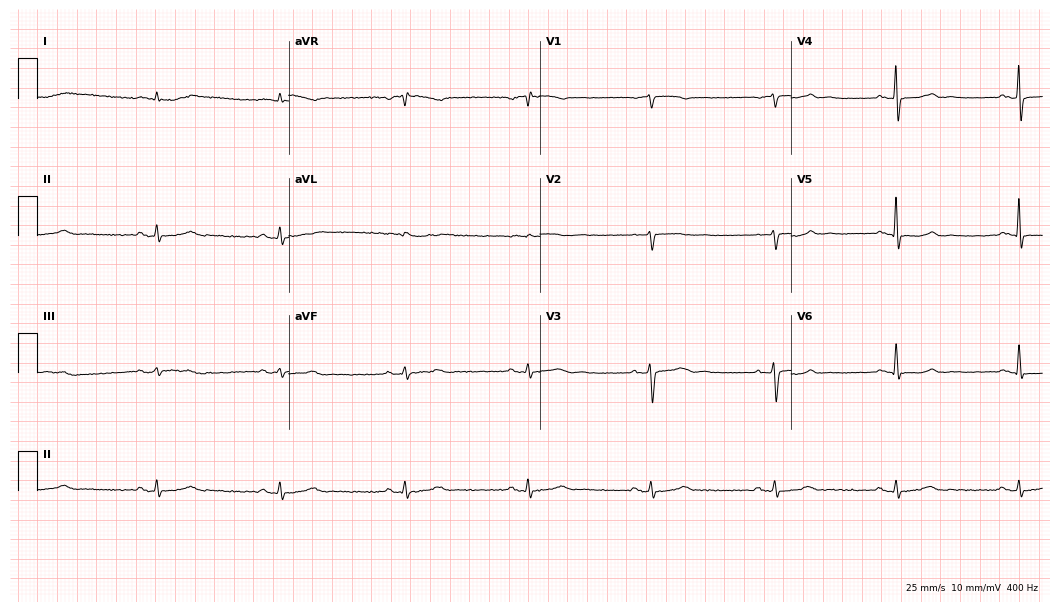
12-lead ECG from a male patient, 75 years old. Findings include sinus bradycardia (a sinus rate of 50 beats per minute or less).